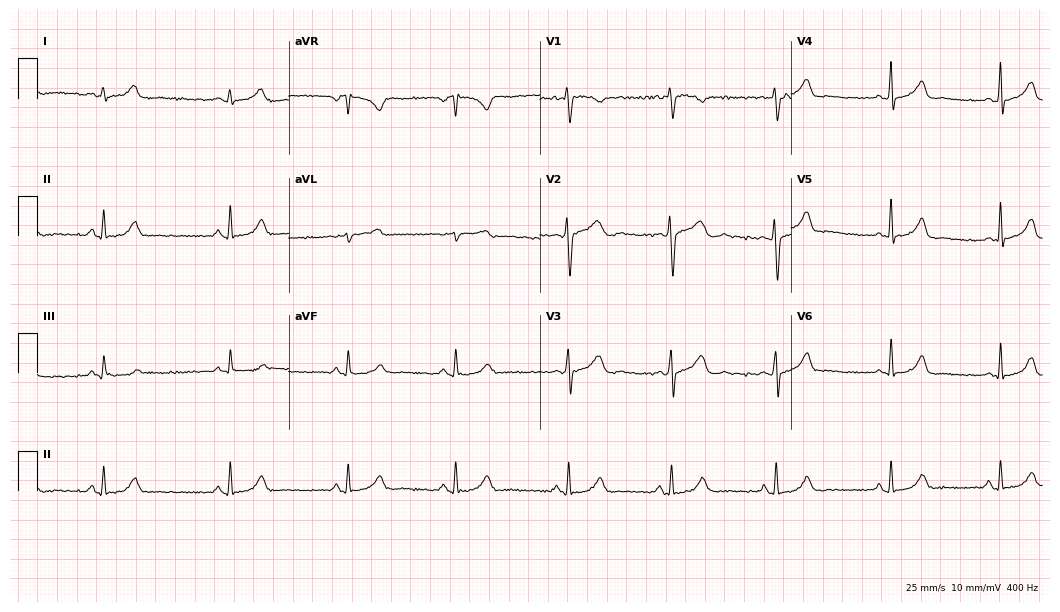
Standard 12-lead ECG recorded from a female, 26 years old (10.2-second recording at 400 Hz). Read as a normal ECG.